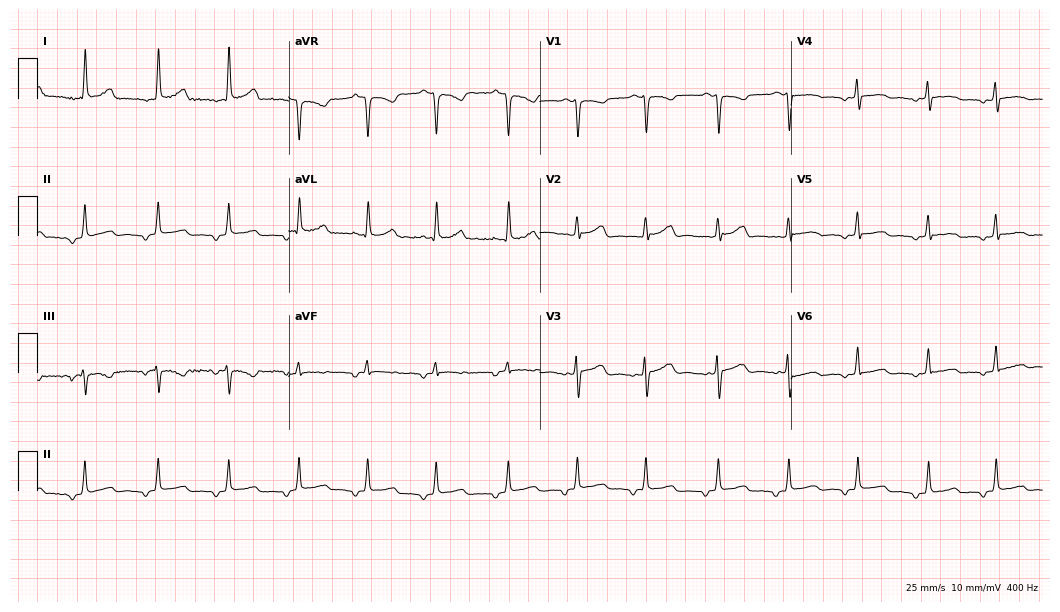
Standard 12-lead ECG recorded from a 47-year-old woman. None of these six findings is recorded: first-degree AV block, right bundle branch block (RBBB), left bundle branch block (LBBB), sinus bradycardia, atrial fibrillation (AF), sinus tachycardia.